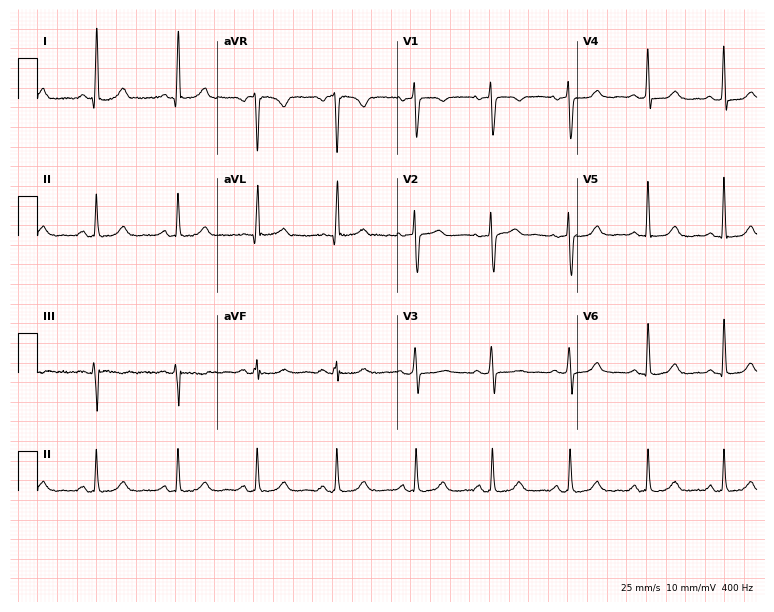
Resting 12-lead electrocardiogram. Patient: a female, 55 years old. None of these six findings is recorded: first-degree AV block, right bundle branch block, left bundle branch block, sinus bradycardia, atrial fibrillation, sinus tachycardia. Other findings, if any, are not listed.